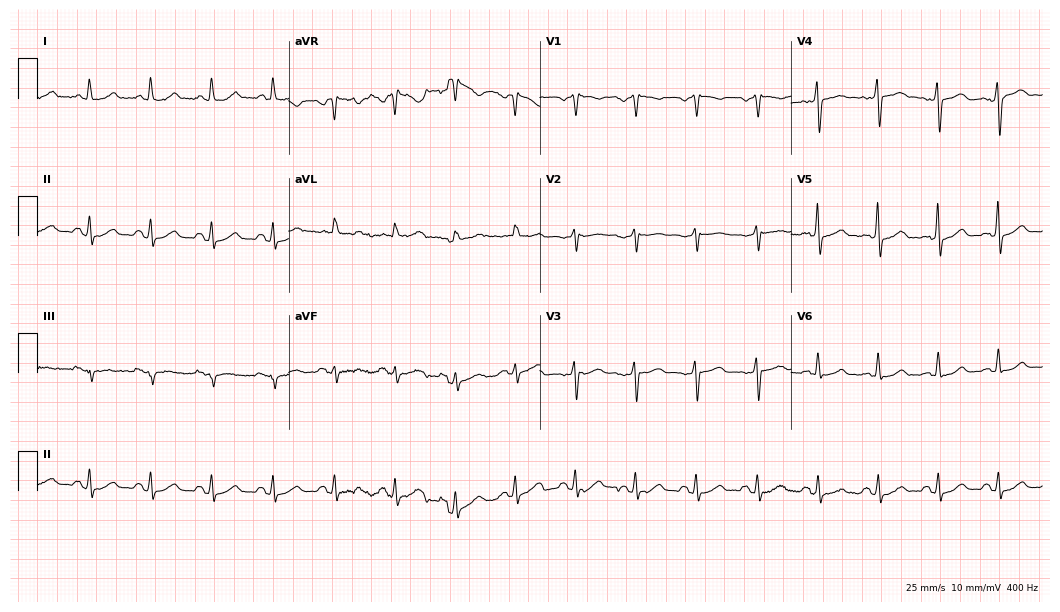
ECG — a female, 57 years old. Screened for six findings — first-degree AV block, right bundle branch block (RBBB), left bundle branch block (LBBB), sinus bradycardia, atrial fibrillation (AF), sinus tachycardia — none is recorded.